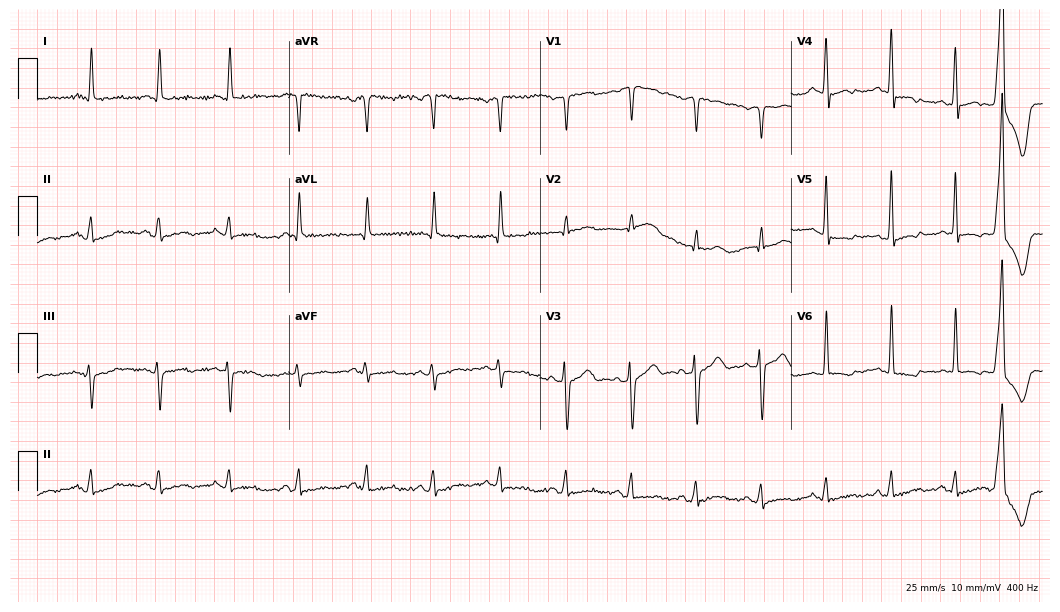
12-lead ECG from a male, 73 years old. No first-degree AV block, right bundle branch block (RBBB), left bundle branch block (LBBB), sinus bradycardia, atrial fibrillation (AF) or sinus tachycardia recorded for this tracing. Only these six findings were labelled.